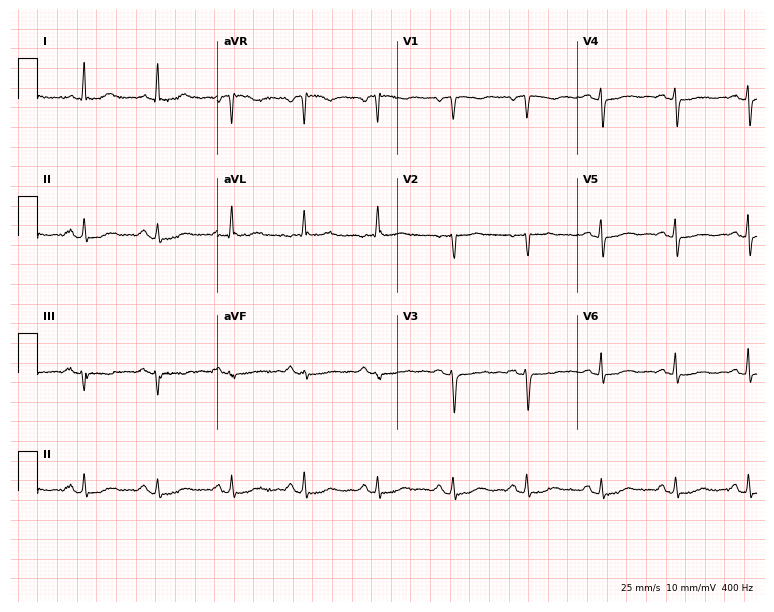
12-lead ECG from a woman, 73 years old. Screened for six findings — first-degree AV block, right bundle branch block, left bundle branch block, sinus bradycardia, atrial fibrillation, sinus tachycardia — none is recorded.